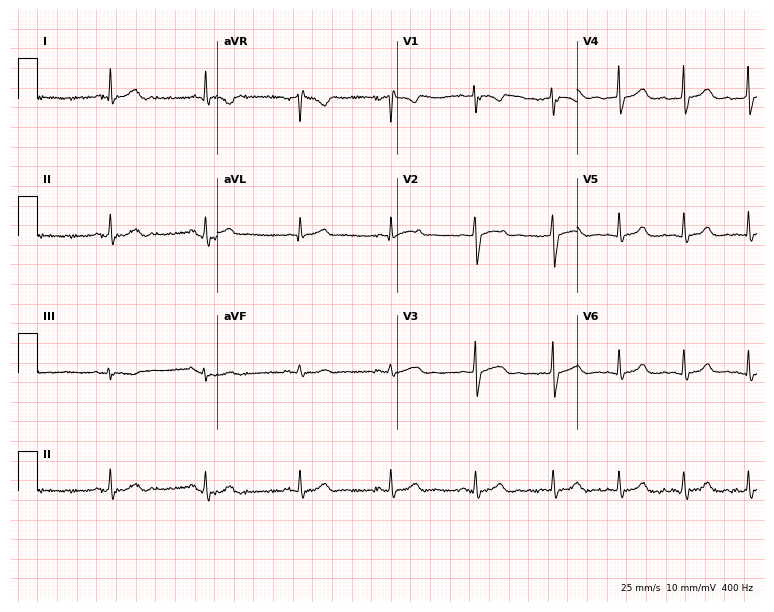
12-lead ECG from a 25-year-old woman (7.3-second recording at 400 Hz). Recorded interpretation: within normal limits.